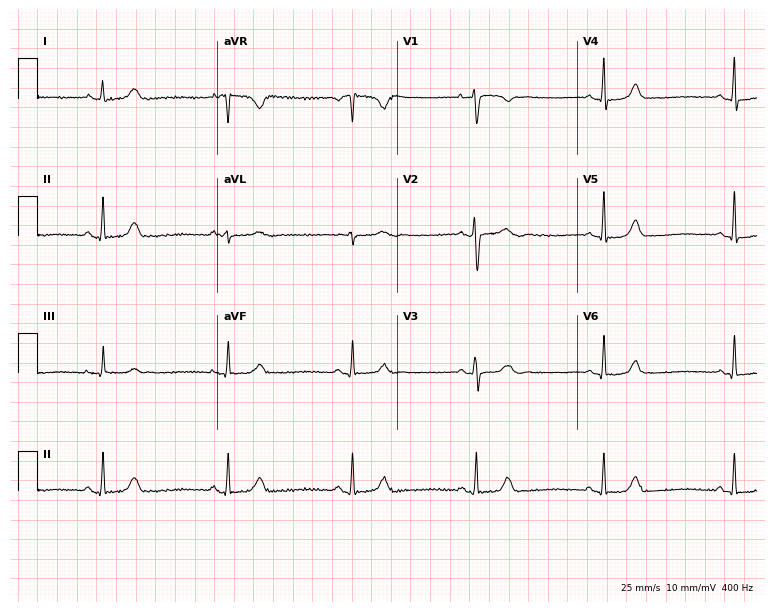
ECG (7.3-second recording at 400 Hz) — a female patient, 24 years old. Labelled as a normal ECG.